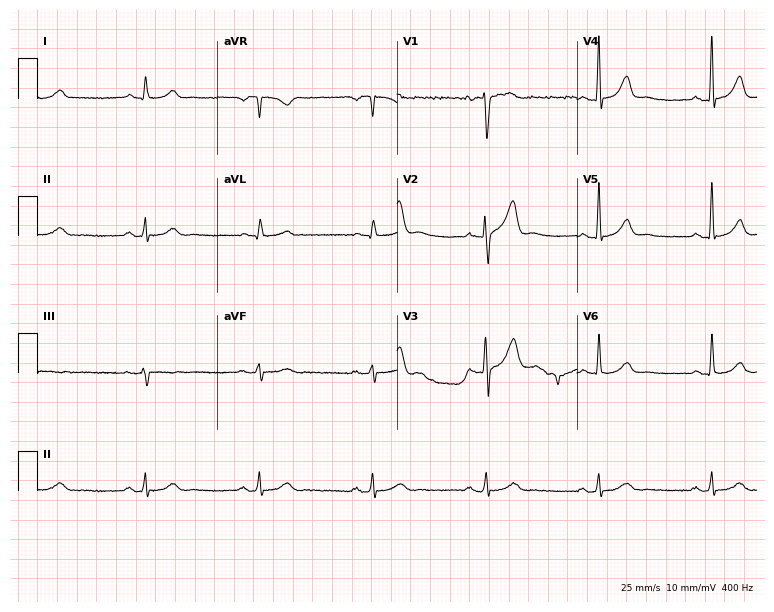
12-lead ECG (7.3-second recording at 400 Hz) from a 65-year-old male patient. Labelled as a normal ECG.